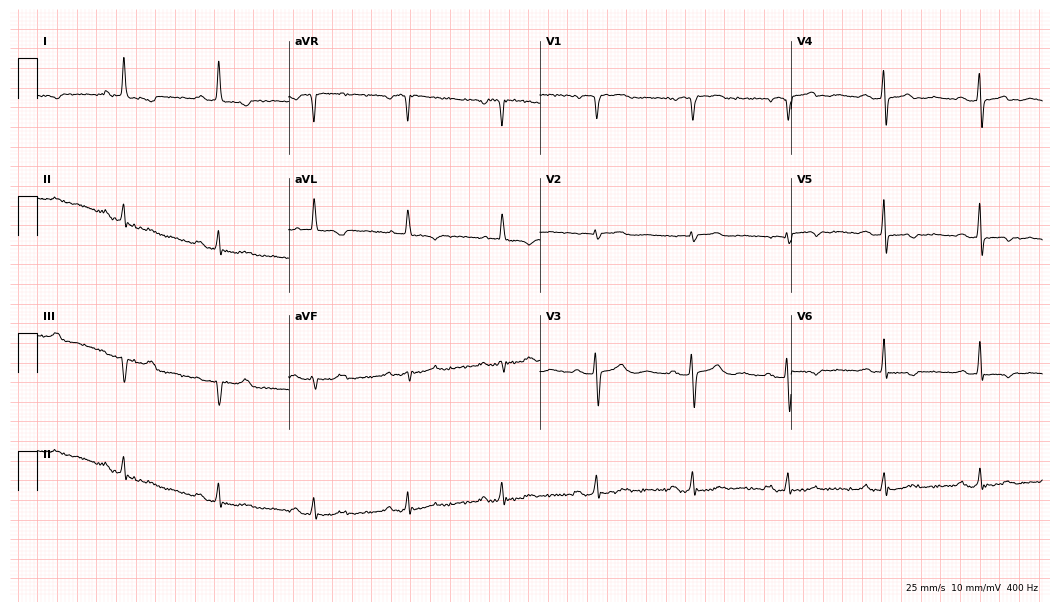
ECG — a female, 80 years old. Labelled as a normal ECG.